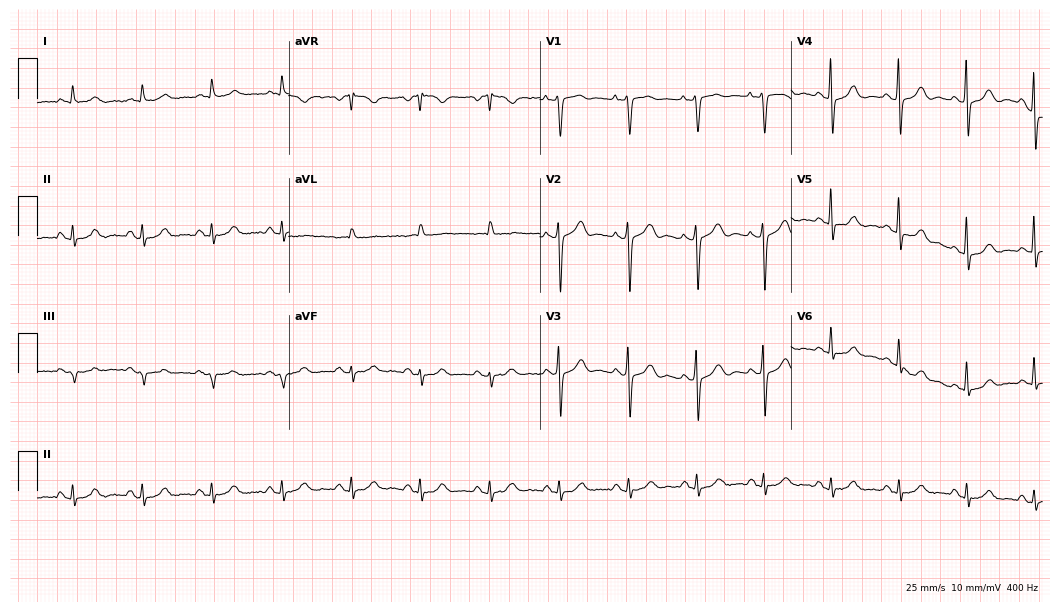
12-lead ECG (10.2-second recording at 400 Hz) from a male, 63 years old. Labelled as a normal ECG.